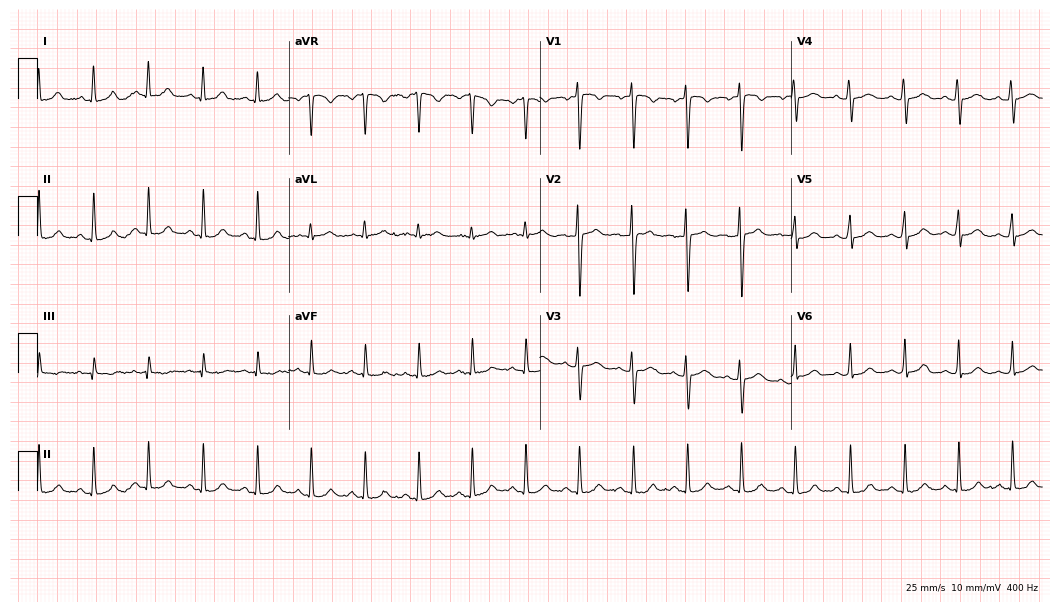
12-lead ECG from a 17-year-old female. Findings include sinus tachycardia (a sinus rate of 100 beats per minute or more).